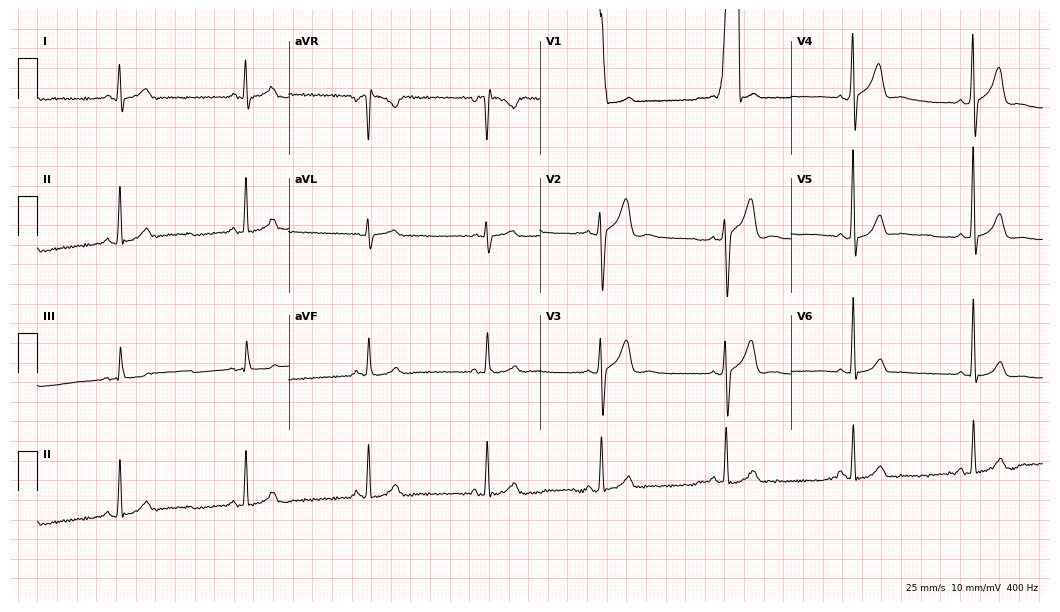
12-lead ECG (10.2-second recording at 400 Hz) from a male patient, 25 years old. Screened for six findings — first-degree AV block, right bundle branch block (RBBB), left bundle branch block (LBBB), sinus bradycardia, atrial fibrillation (AF), sinus tachycardia — none is recorded.